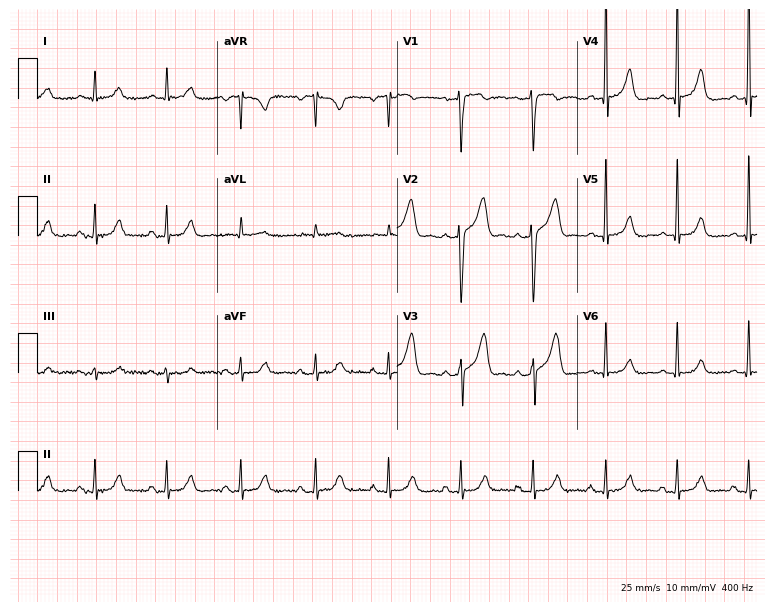
12-lead ECG from a male patient, 63 years old. Recorded interpretation: within normal limits.